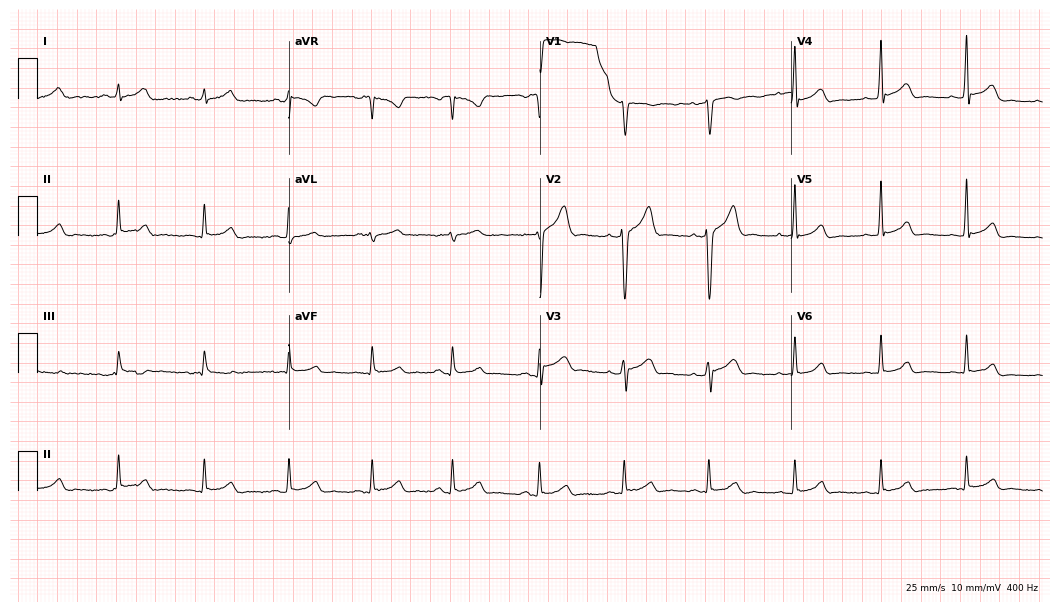
Standard 12-lead ECG recorded from a 34-year-old male patient. Read as a normal ECG.